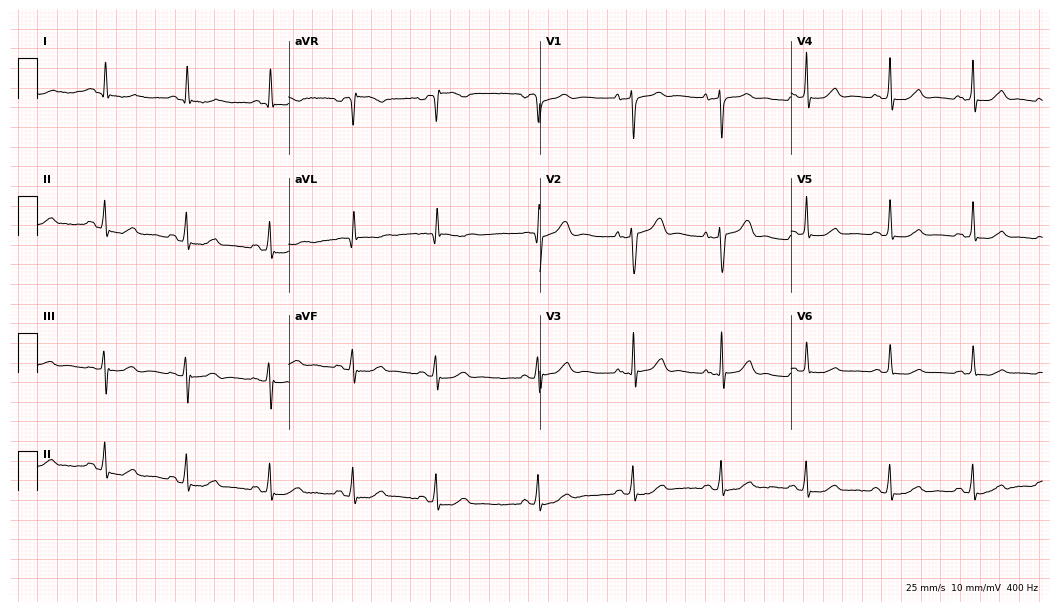
Electrocardiogram (10.2-second recording at 400 Hz), an 83-year-old female. Overall reading on record: normal ECG.